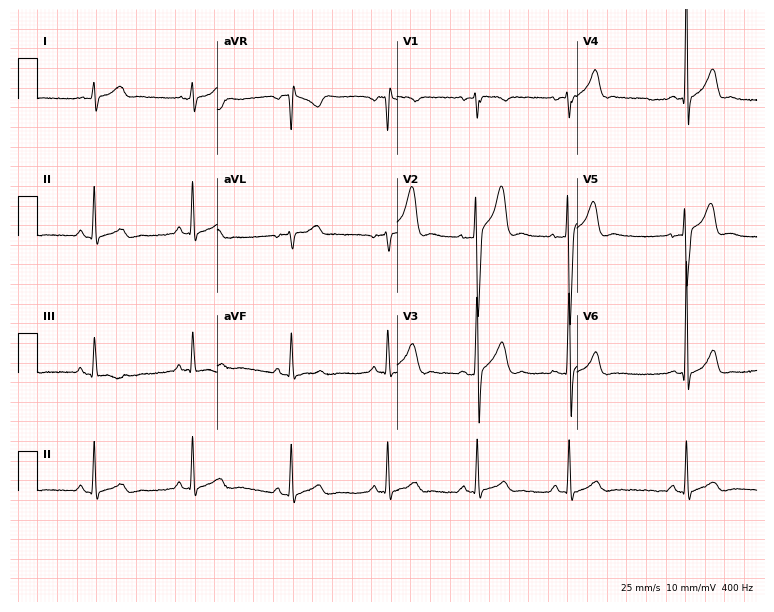
12-lead ECG from a 23-year-old male patient (7.3-second recording at 400 Hz). Recorded interpretation: within normal limits.